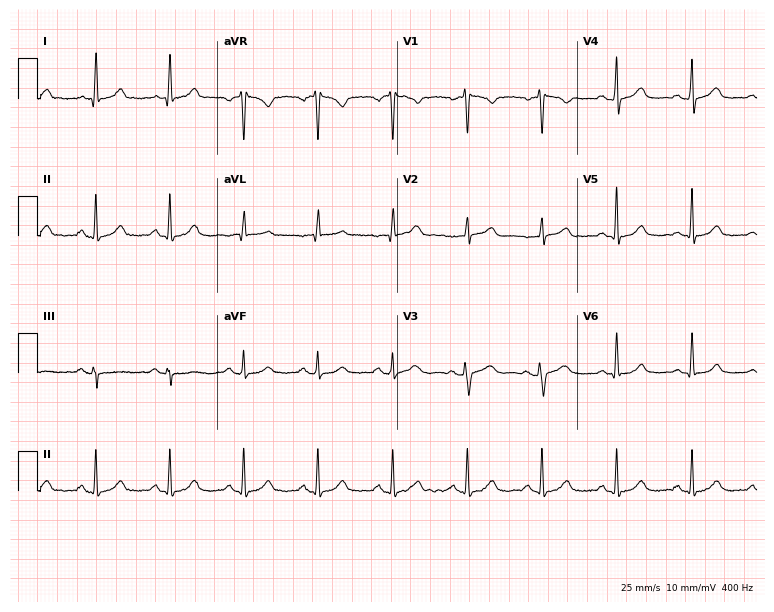
ECG (7.3-second recording at 400 Hz) — a female, 54 years old. Labelled as a normal ECG.